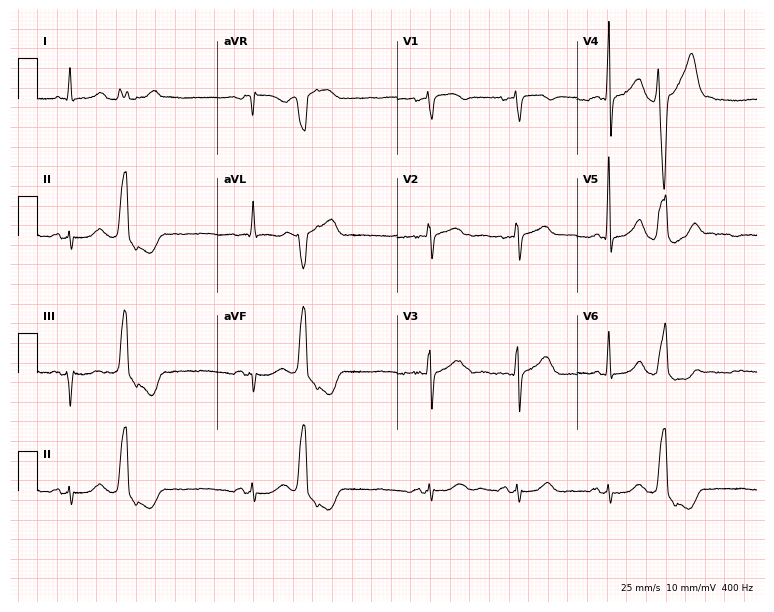
Resting 12-lead electrocardiogram (7.3-second recording at 400 Hz). Patient: a 78-year-old man. None of these six findings is recorded: first-degree AV block, right bundle branch block, left bundle branch block, sinus bradycardia, atrial fibrillation, sinus tachycardia. Only these six findings were labelled.